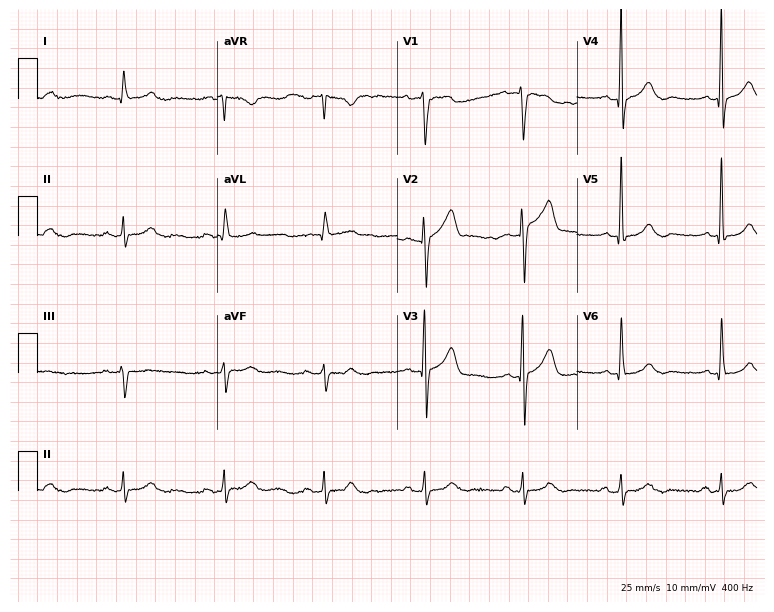
12-lead ECG from an 83-year-old male patient. Screened for six findings — first-degree AV block, right bundle branch block (RBBB), left bundle branch block (LBBB), sinus bradycardia, atrial fibrillation (AF), sinus tachycardia — none is recorded. Findings outside these six are not listed.